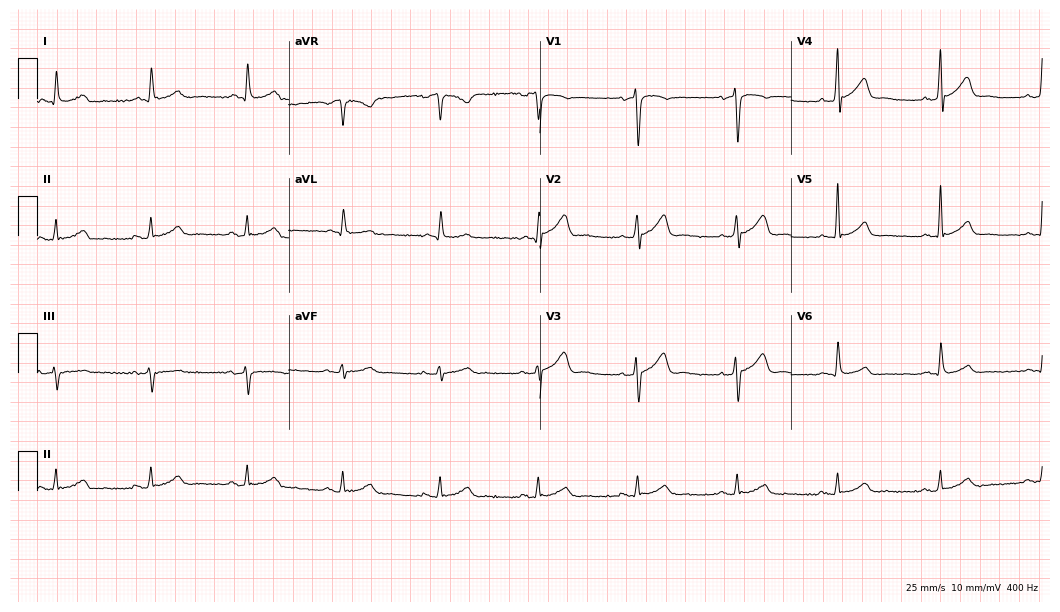
Standard 12-lead ECG recorded from a male, 65 years old. Read as a normal ECG.